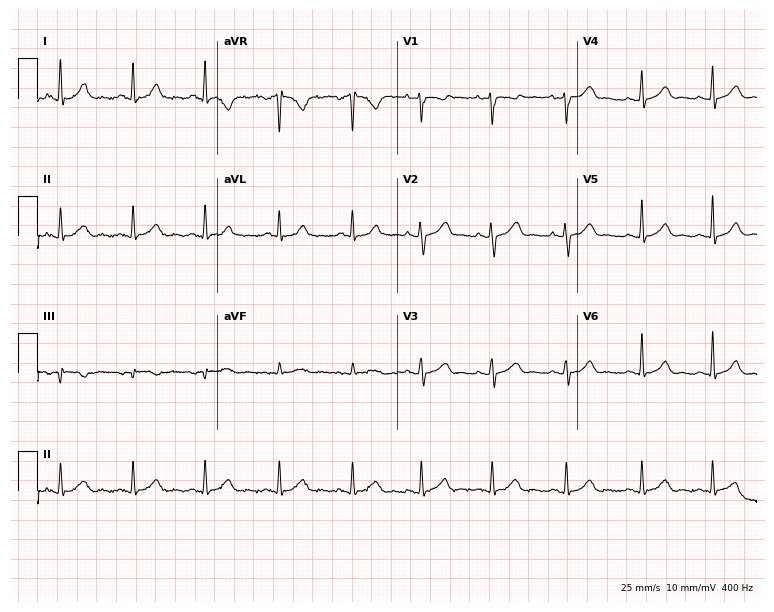
Standard 12-lead ECG recorded from a 27-year-old female patient (7.3-second recording at 400 Hz). Read as a normal ECG.